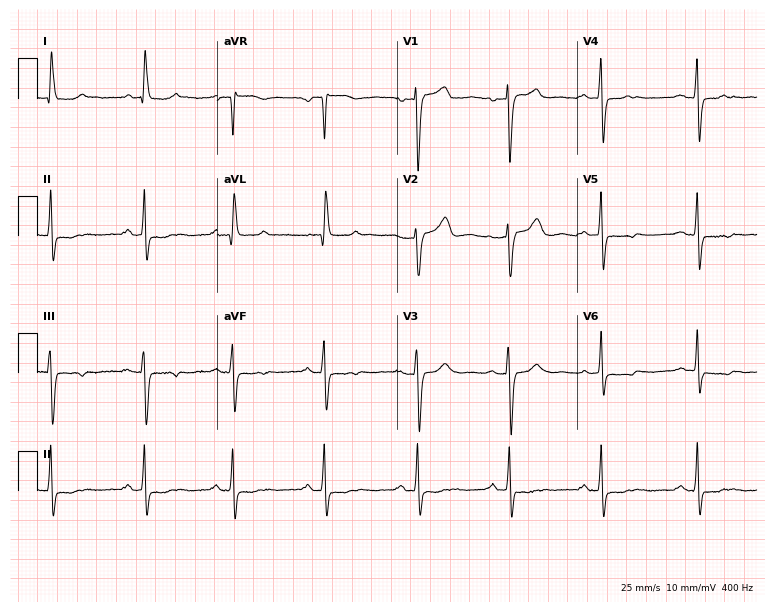
Resting 12-lead electrocardiogram. Patient: a 59-year-old female. None of these six findings is recorded: first-degree AV block, right bundle branch block, left bundle branch block, sinus bradycardia, atrial fibrillation, sinus tachycardia.